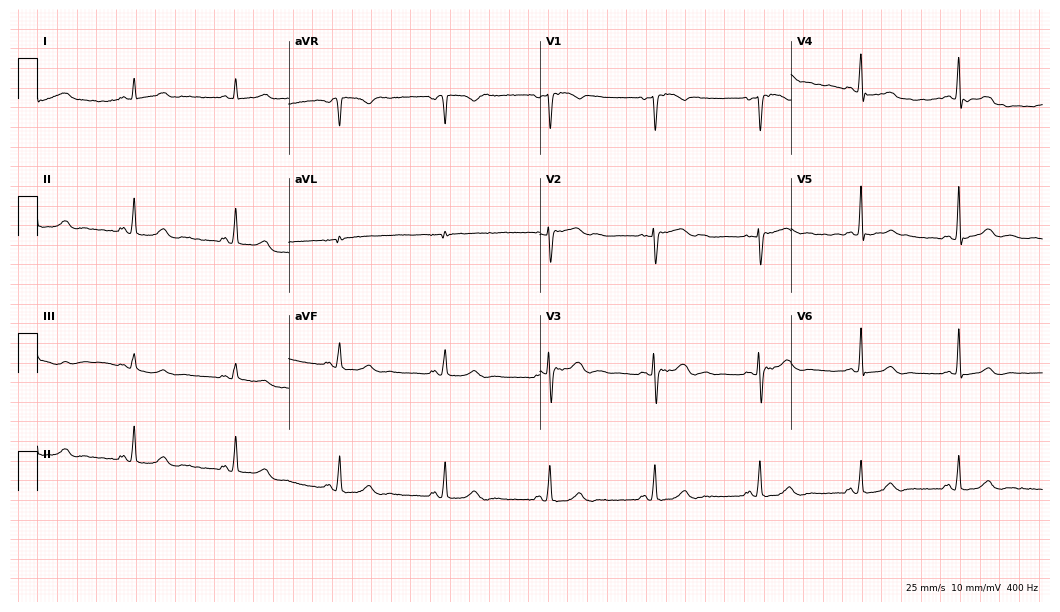
12-lead ECG from a woman, 43 years old. Labelled as a normal ECG.